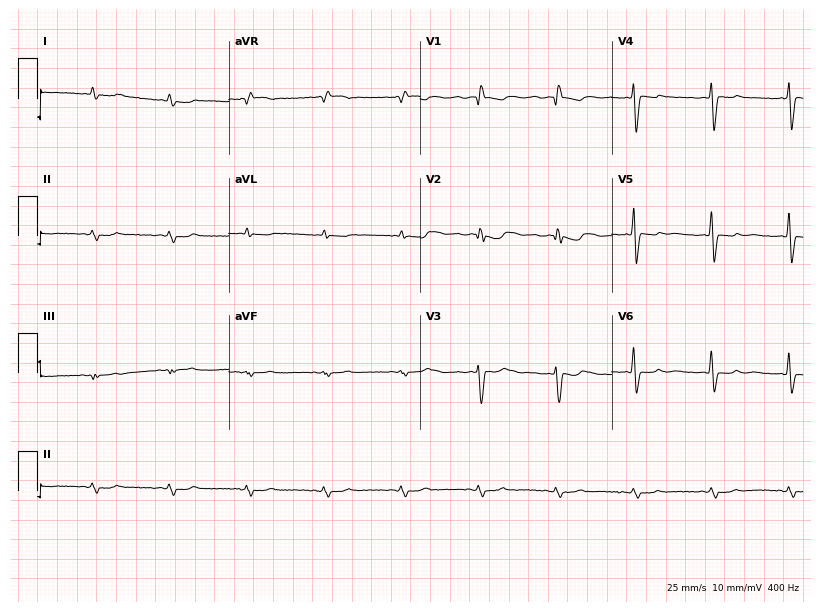
12-lead ECG from a male patient, 67 years old. Screened for six findings — first-degree AV block, right bundle branch block, left bundle branch block, sinus bradycardia, atrial fibrillation, sinus tachycardia — none is recorded. Findings outside these six are not listed.